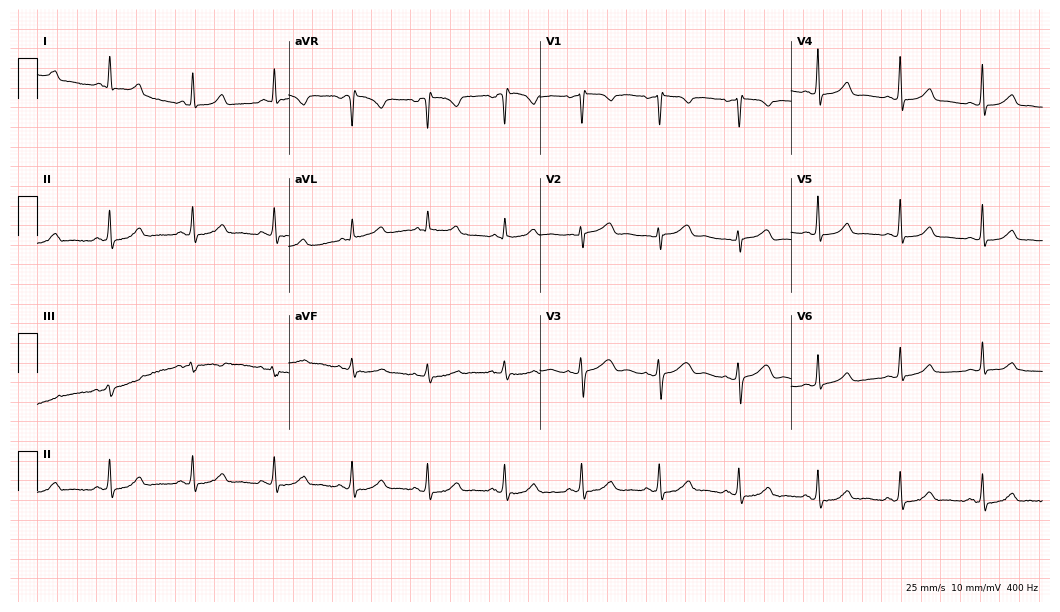
Electrocardiogram (10.2-second recording at 400 Hz), a female patient, 50 years old. Of the six screened findings (first-degree AV block, right bundle branch block, left bundle branch block, sinus bradycardia, atrial fibrillation, sinus tachycardia), none is recorded. Only these six findings were labelled.